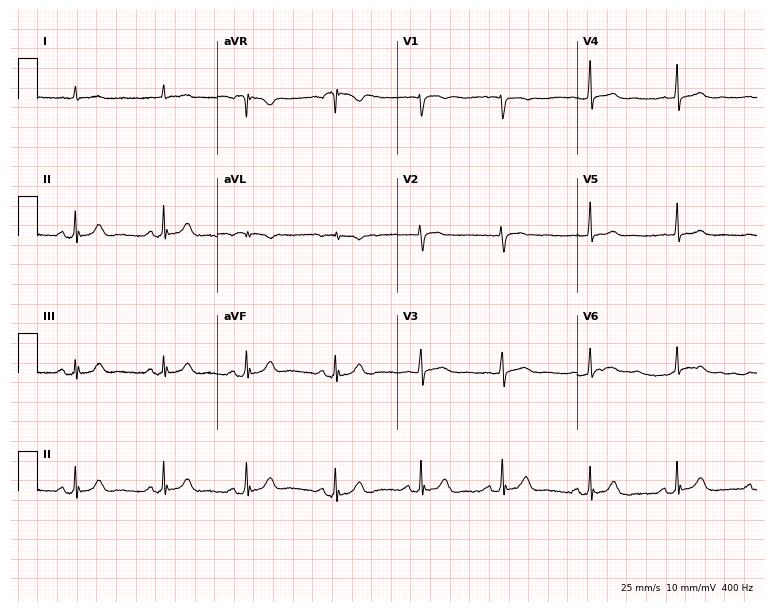
Standard 12-lead ECG recorded from a 79-year-old male. Read as a normal ECG.